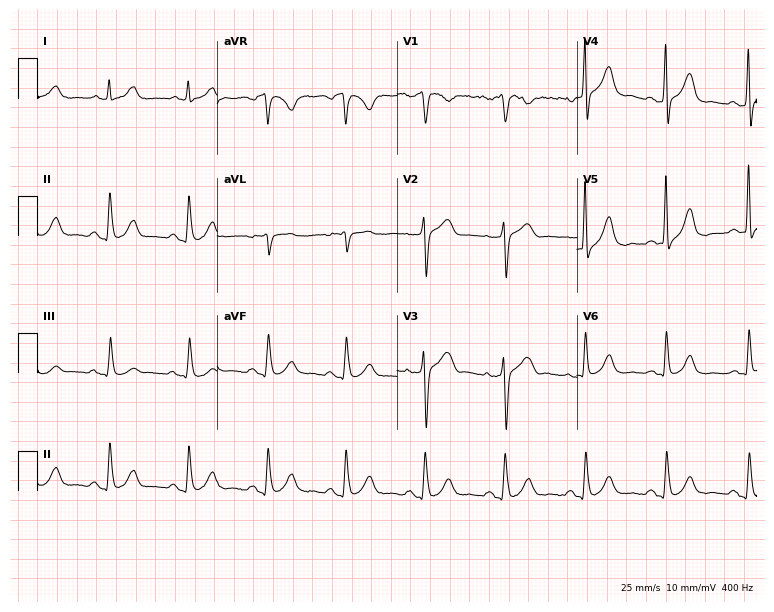
Electrocardiogram (7.3-second recording at 400 Hz), a male, 61 years old. Of the six screened findings (first-degree AV block, right bundle branch block, left bundle branch block, sinus bradycardia, atrial fibrillation, sinus tachycardia), none is recorded. Other findings, if any, are not listed.